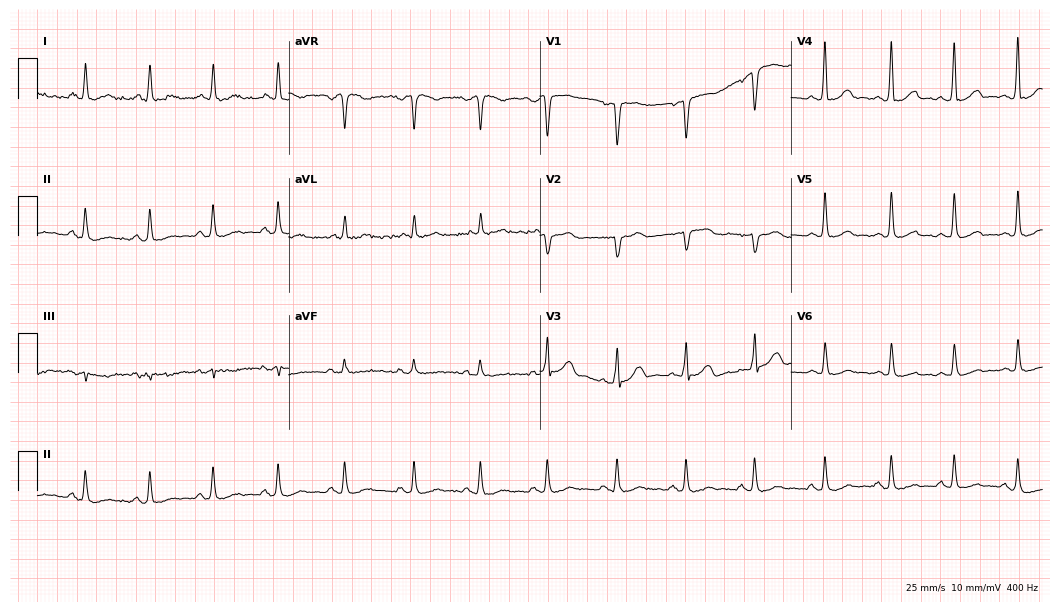
ECG (10.2-second recording at 400 Hz) — a female patient, 45 years old. Labelled as a normal ECG.